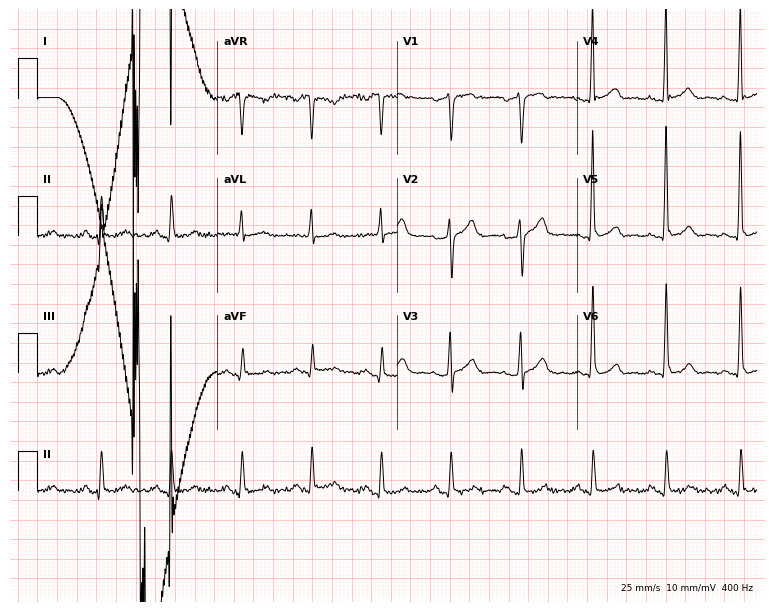
Standard 12-lead ECG recorded from a 50-year-old man (7.3-second recording at 400 Hz). None of these six findings is recorded: first-degree AV block, right bundle branch block, left bundle branch block, sinus bradycardia, atrial fibrillation, sinus tachycardia. Other findings, if any, are not listed.